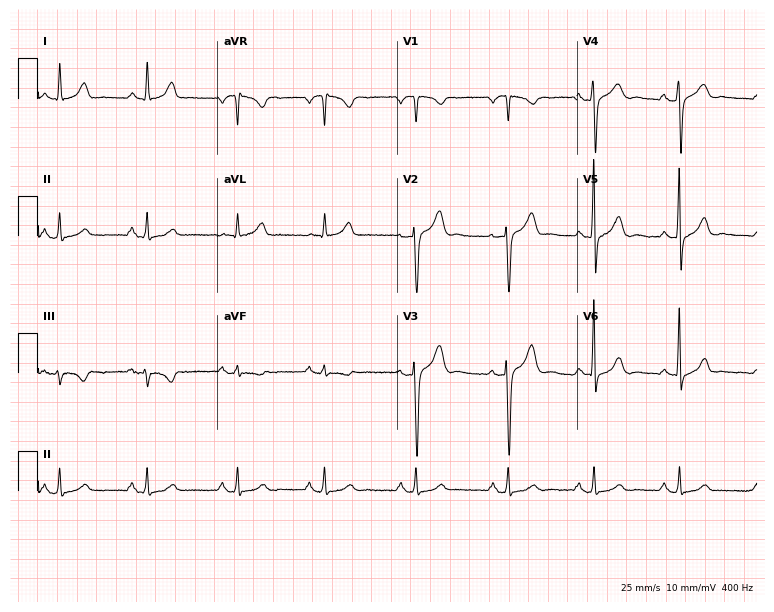
12-lead ECG from a male, 51 years old. Screened for six findings — first-degree AV block, right bundle branch block, left bundle branch block, sinus bradycardia, atrial fibrillation, sinus tachycardia — none is recorded. Other findings, if any, are not listed.